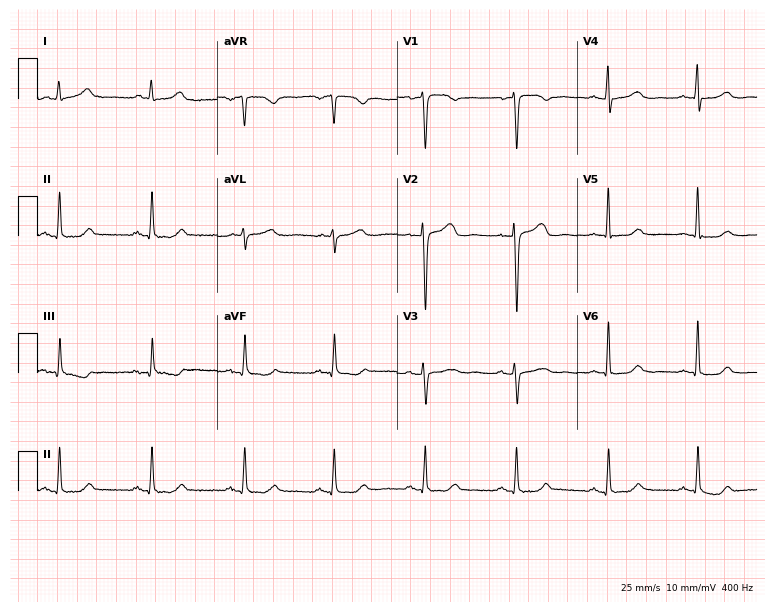
12-lead ECG (7.3-second recording at 400 Hz) from a woman, 53 years old. Labelled as a normal ECG.